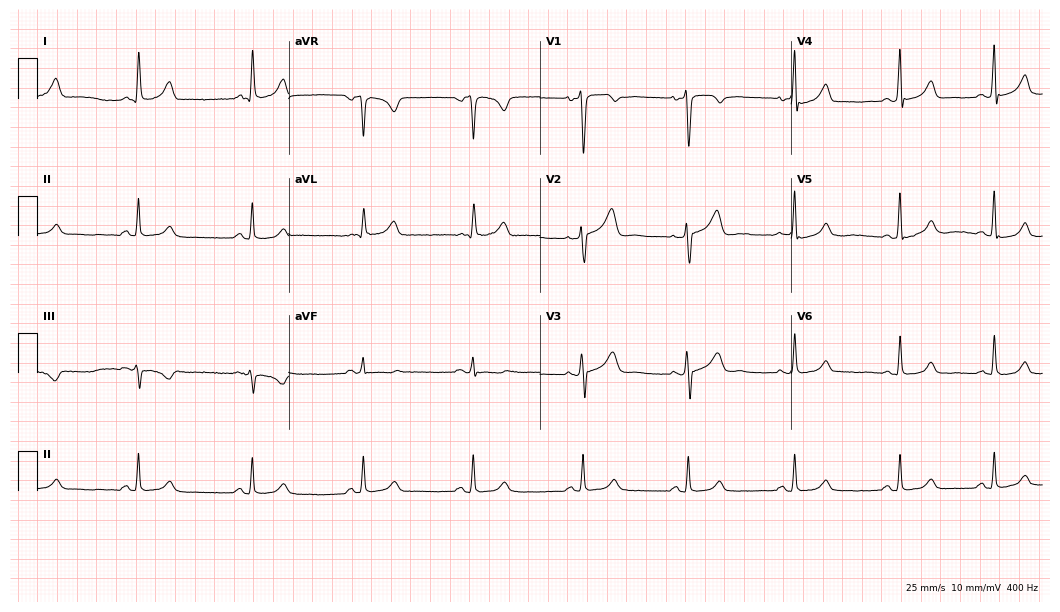
ECG — a 52-year-old male patient. Labelled as a normal ECG.